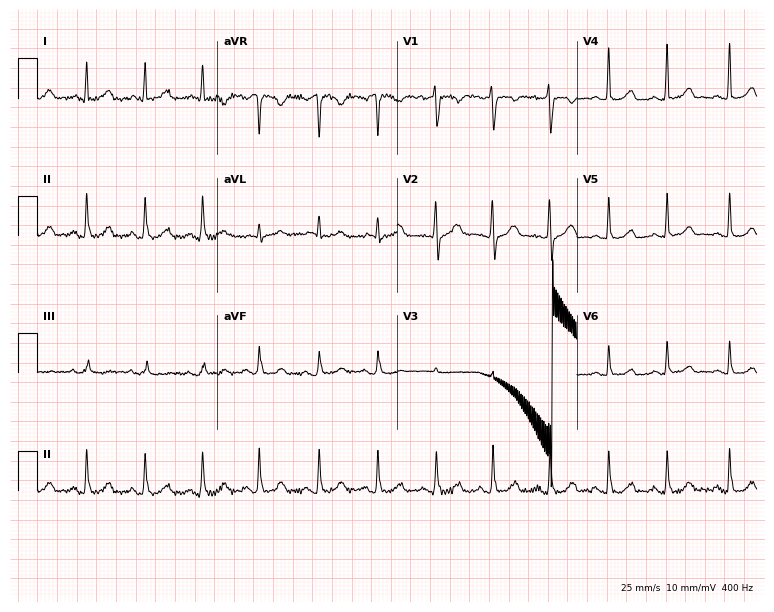
Resting 12-lead electrocardiogram (7.3-second recording at 400 Hz). Patient: a female, 25 years old. None of these six findings is recorded: first-degree AV block, right bundle branch block (RBBB), left bundle branch block (LBBB), sinus bradycardia, atrial fibrillation (AF), sinus tachycardia. Findings outside these six are not listed.